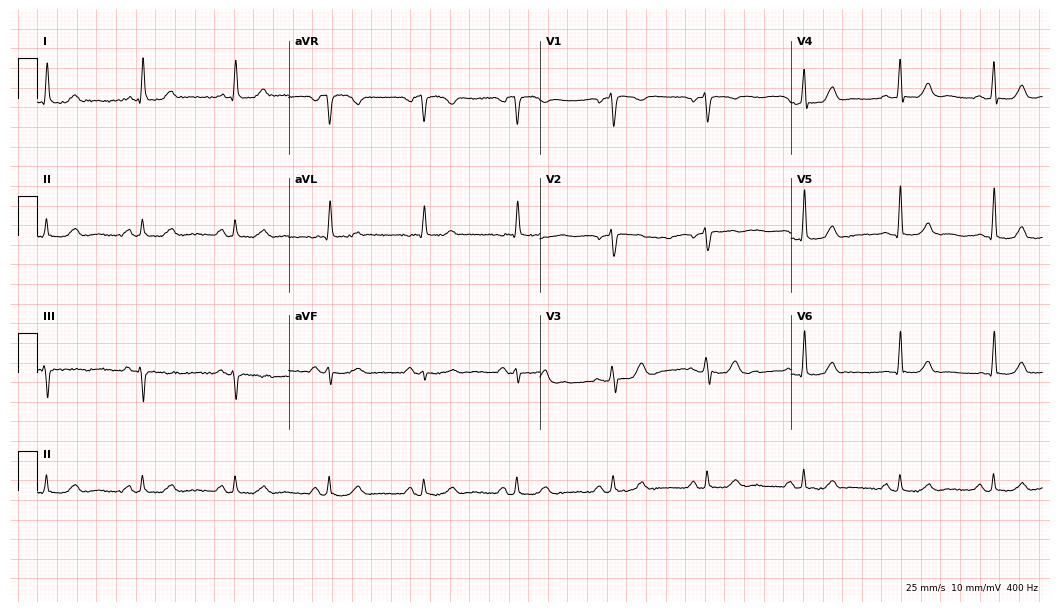
12-lead ECG (10.2-second recording at 400 Hz) from a female, 55 years old. Screened for six findings — first-degree AV block, right bundle branch block (RBBB), left bundle branch block (LBBB), sinus bradycardia, atrial fibrillation (AF), sinus tachycardia — none is recorded. Other findings, if any, are not listed.